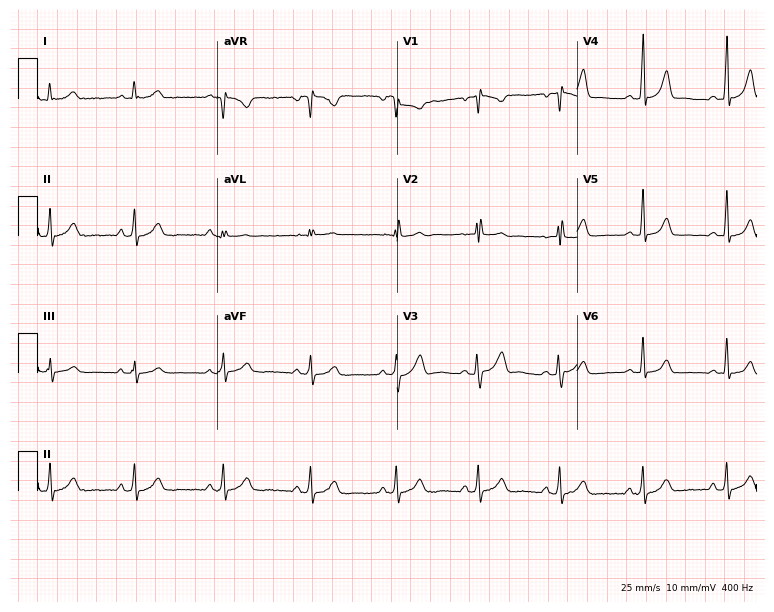
Resting 12-lead electrocardiogram (7.3-second recording at 400 Hz). Patient: a female, 22 years old. None of these six findings is recorded: first-degree AV block, right bundle branch block, left bundle branch block, sinus bradycardia, atrial fibrillation, sinus tachycardia. Findings outside these six are not listed.